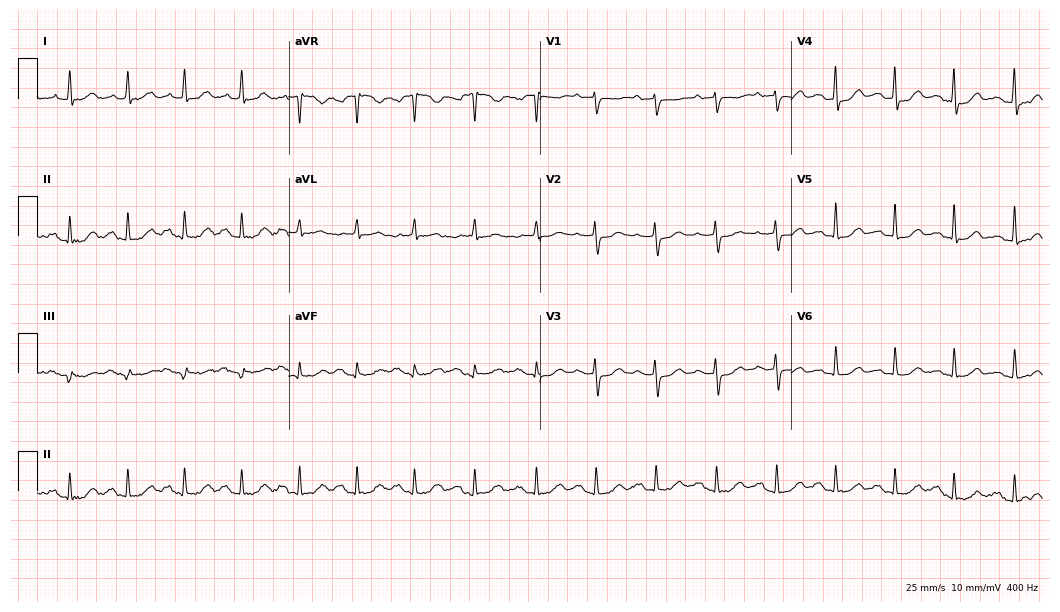
ECG — an 83-year-old male patient. Labelled as a normal ECG.